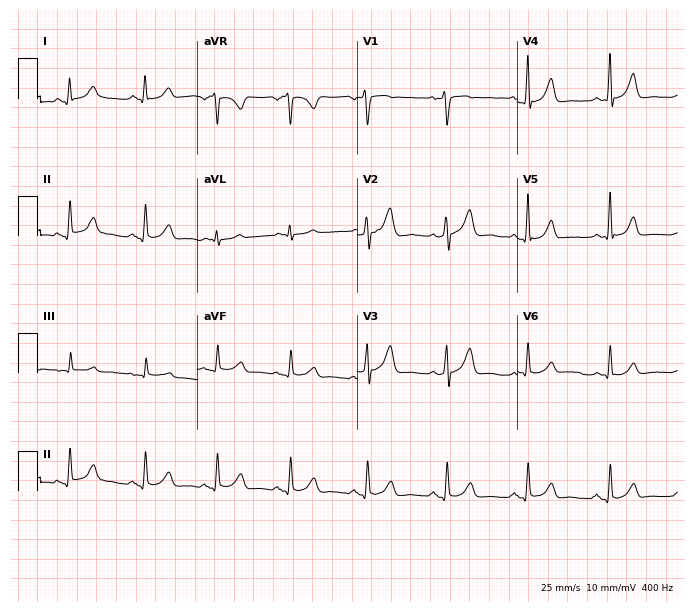
12-lead ECG from a 38-year-old male (6.5-second recording at 400 Hz). Recorded interpretation: within normal limits.